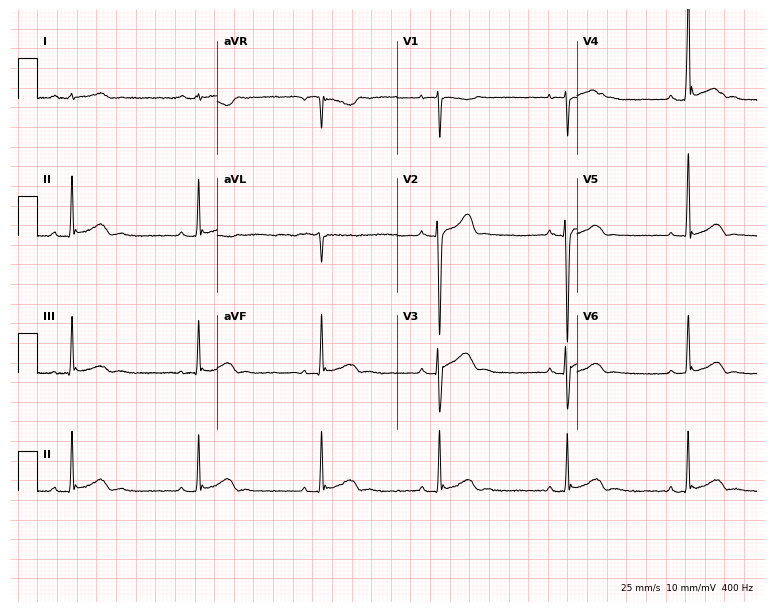
Standard 12-lead ECG recorded from a 19-year-old man (7.3-second recording at 400 Hz). Read as a normal ECG.